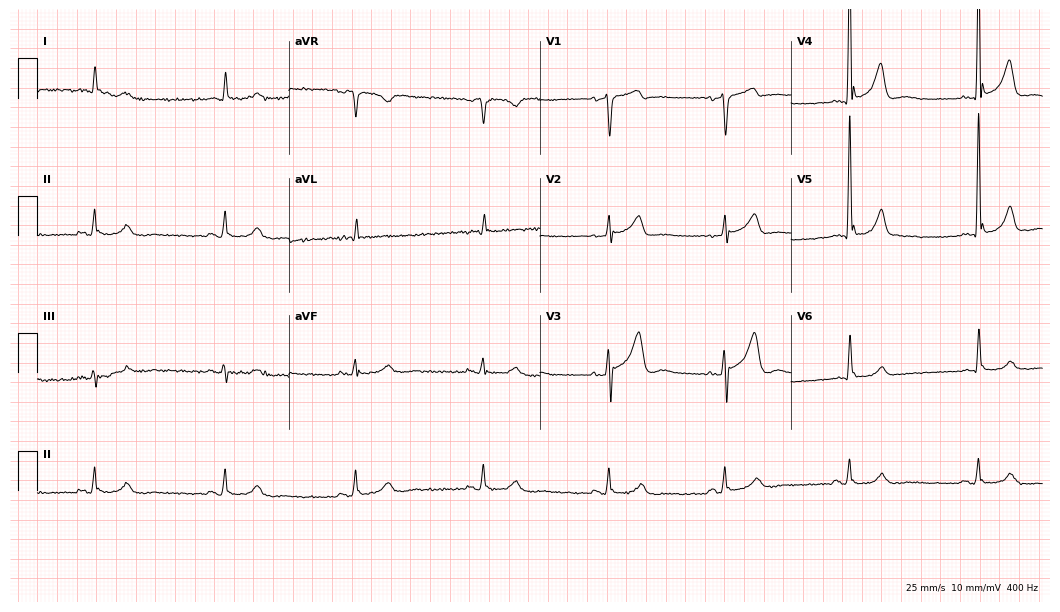
Resting 12-lead electrocardiogram. Patient: a 67-year-old male. None of these six findings is recorded: first-degree AV block, right bundle branch block, left bundle branch block, sinus bradycardia, atrial fibrillation, sinus tachycardia.